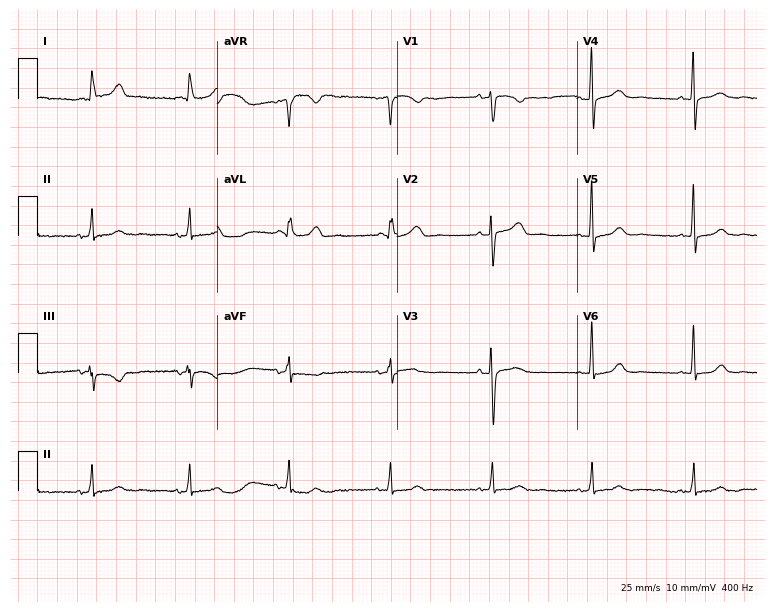
Standard 12-lead ECG recorded from a 60-year-old female patient (7.3-second recording at 400 Hz). Read as a normal ECG.